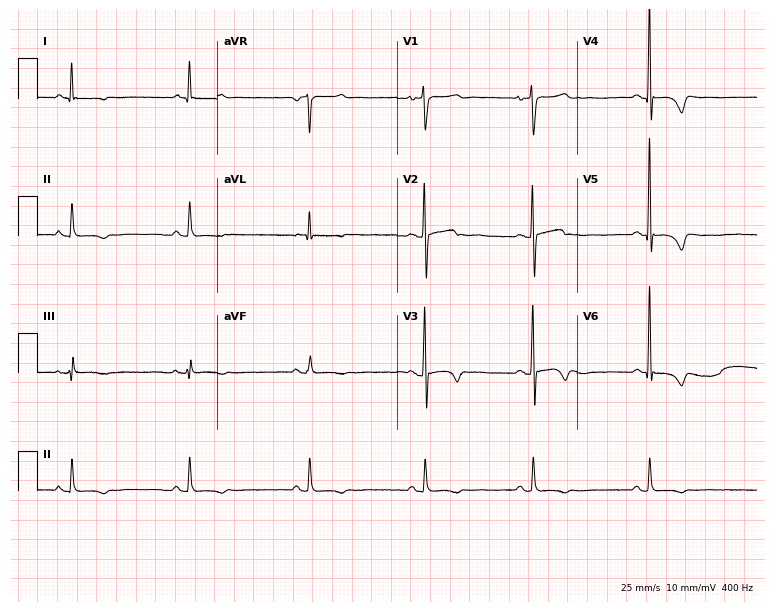
Resting 12-lead electrocardiogram (7.3-second recording at 400 Hz). Patient: a 44-year-old male. None of these six findings is recorded: first-degree AV block, right bundle branch block, left bundle branch block, sinus bradycardia, atrial fibrillation, sinus tachycardia. Findings outside these six are not listed.